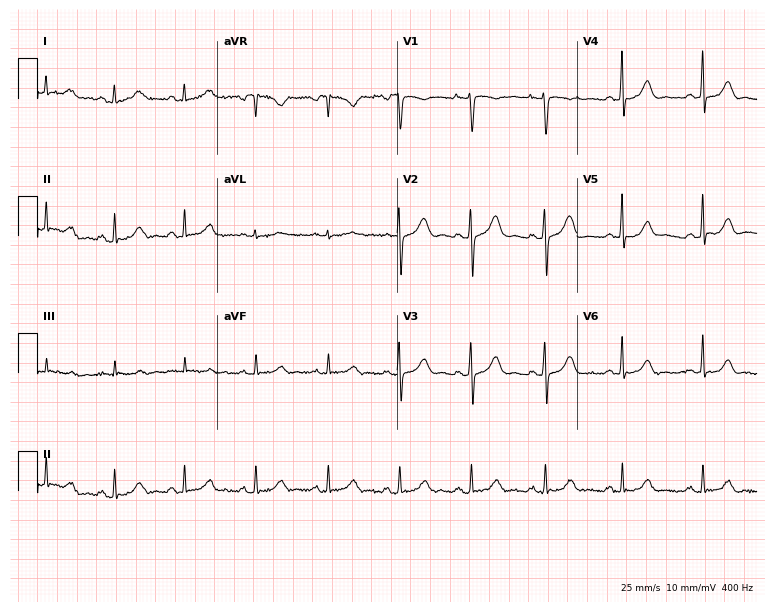
Standard 12-lead ECG recorded from a woman, 42 years old. None of these six findings is recorded: first-degree AV block, right bundle branch block, left bundle branch block, sinus bradycardia, atrial fibrillation, sinus tachycardia. Only these six findings were labelled.